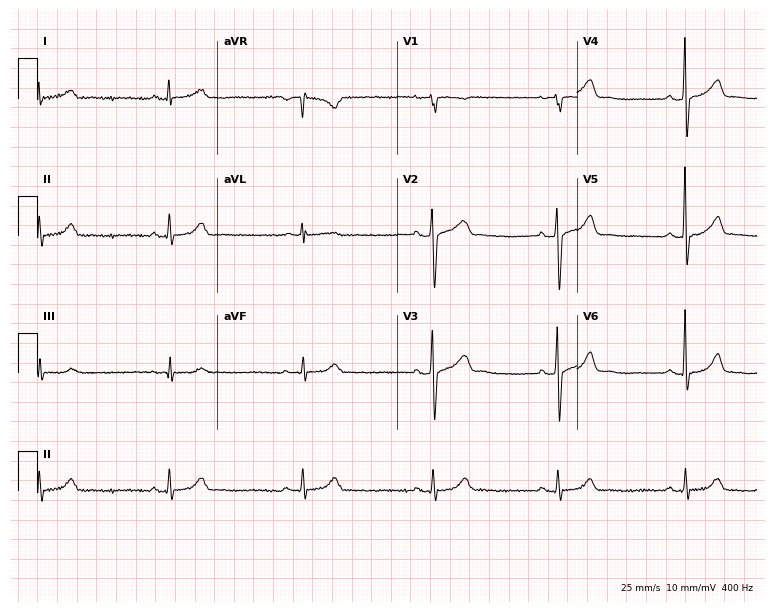
Standard 12-lead ECG recorded from a 47-year-old male (7.3-second recording at 400 Hz). The tracing shows sinus bradycardia (a sinus rate of 50 beats per minute or less).